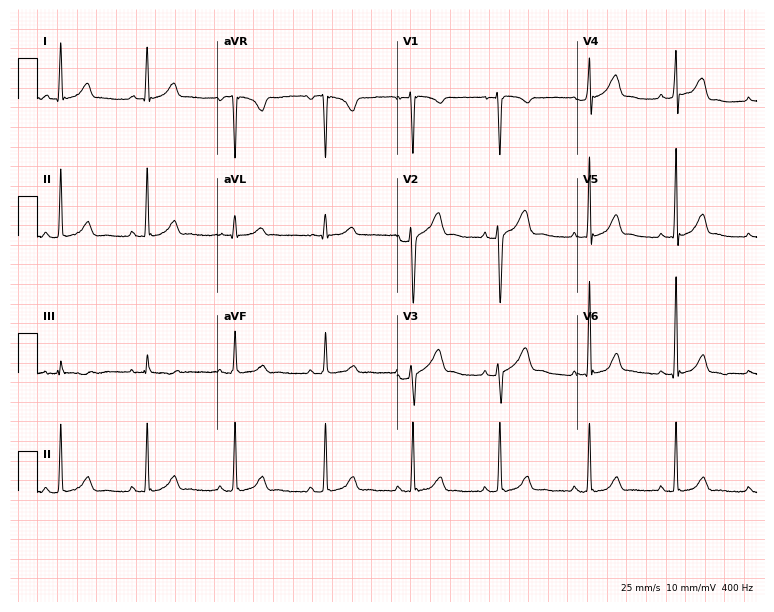
12-lead ECG (7.3-second recording at 400 Hz) from a female patient, 27 years old. Screened for six findings — first-degree AV block, right bundle branch block, left bundle branch block, sinus bradycardia, atrial fibrillation, sinus tachycardia — none is recorded. Only these six findings were labelled.